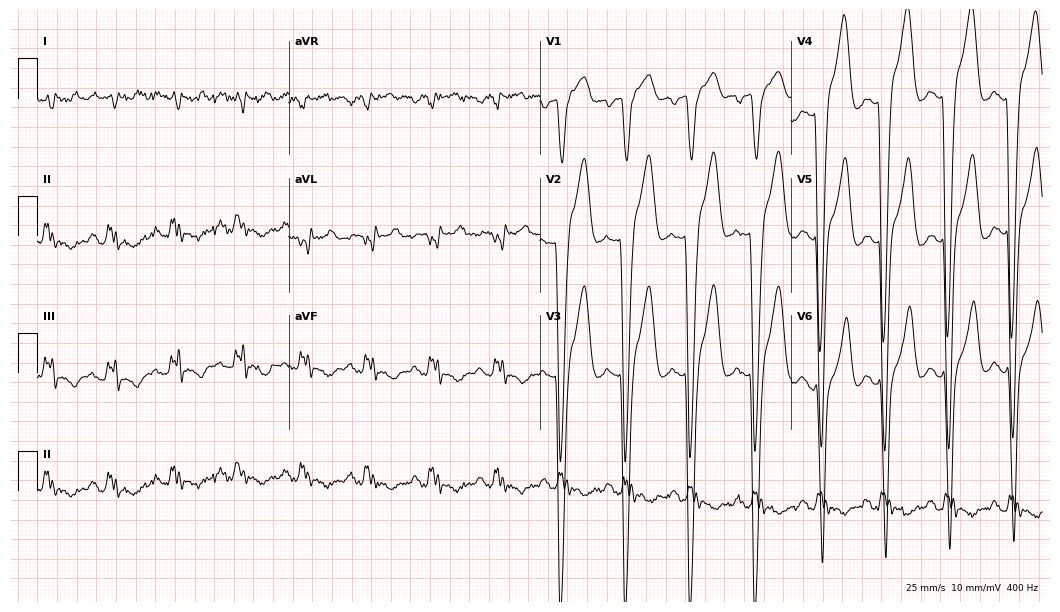
12-lead ECG from a 58-year-old male. No first-degree AV block, right bundle branch block, left bundle branch block, sinus bradycardia, atrial fibrillation or sinus tachycardia recorded for this tracing.